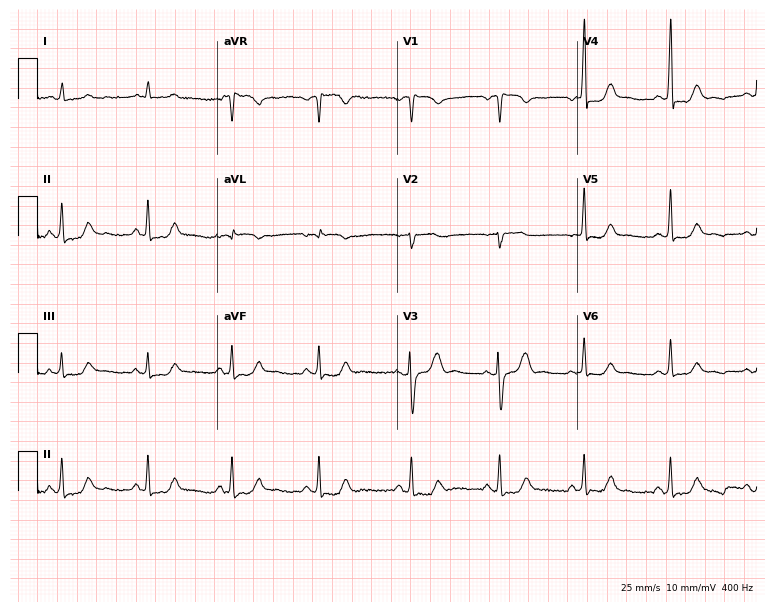
12-lead ECG from a male, 56 years old (7.3-second recording at 400 Hz). No first-degree AV block, right bundle branch block, left bundle branch block, sinus bradycardia, atrial fibrillation or sinus tachycardia recorded for this tracing.